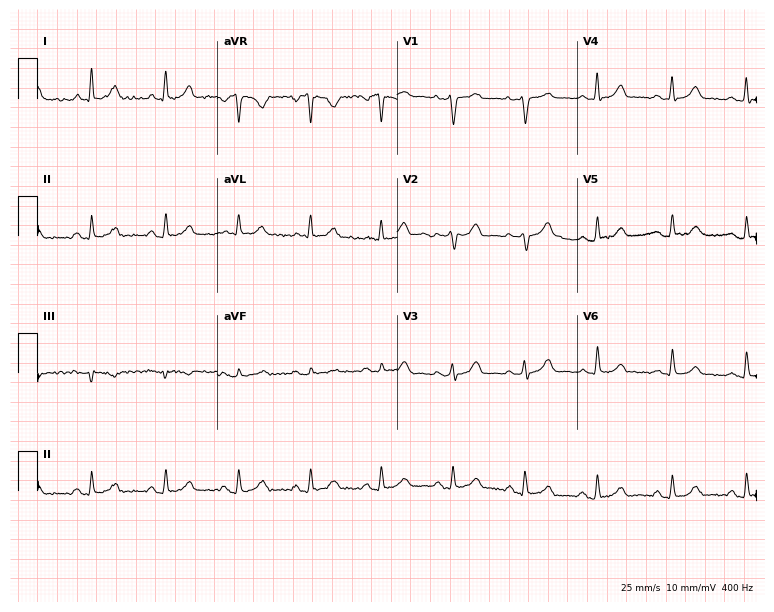
12-lead ECG (7.3-second recording at 400 Hz) from a 36-year-old female patient. Screened for six findings — first-degree AV block, right bundle branch block, left bundle branch block, sinus bradycardia, atrial fibrillation, sinus tachycardia — none is recorded.